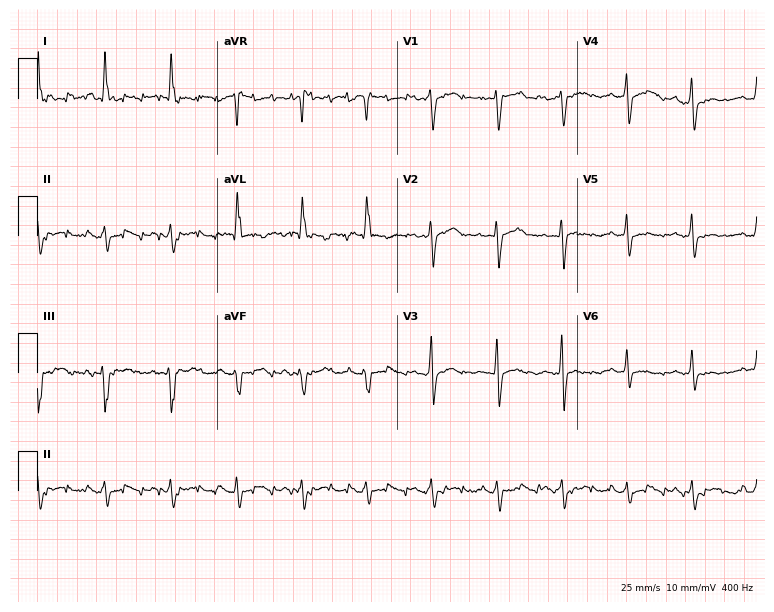
Electrocardiogram (7.3-second recording at 400 Hz), a female patient, 73 years old. Of the six screened findings (first-degree AV block, right bundle branch block, left bundle branch block, sinus bradycardia, atrial fibrillation, sinus tachycardia), none is recorded.